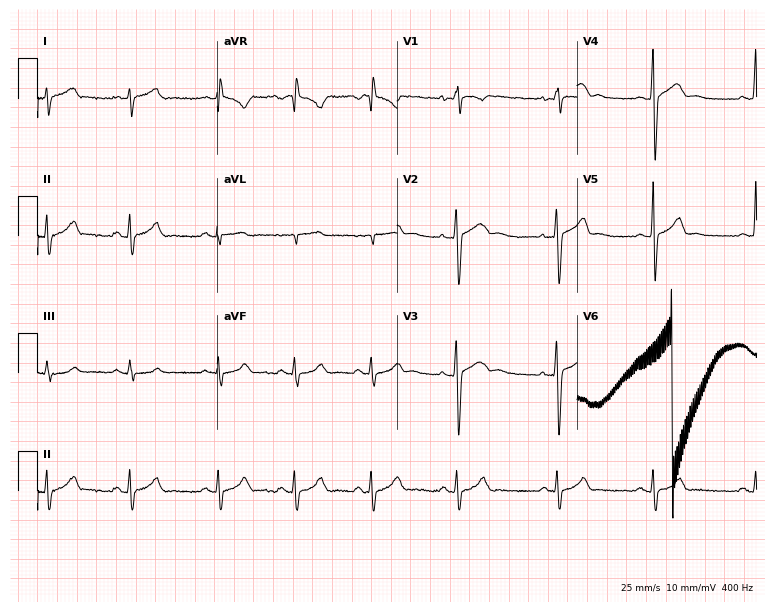
Resting 12-lead electrocardiogram (7.3-second recording at 400 Hz). Patient: a 17-year-old man. None of these six findings is recorded: first-degree AV block, right bundle branch block (RBBB), left bundle branch block (LBBB), sinus bradycardia, atrial fibrillation (AF), sinus tachycardia. Only these six findings were labelled.